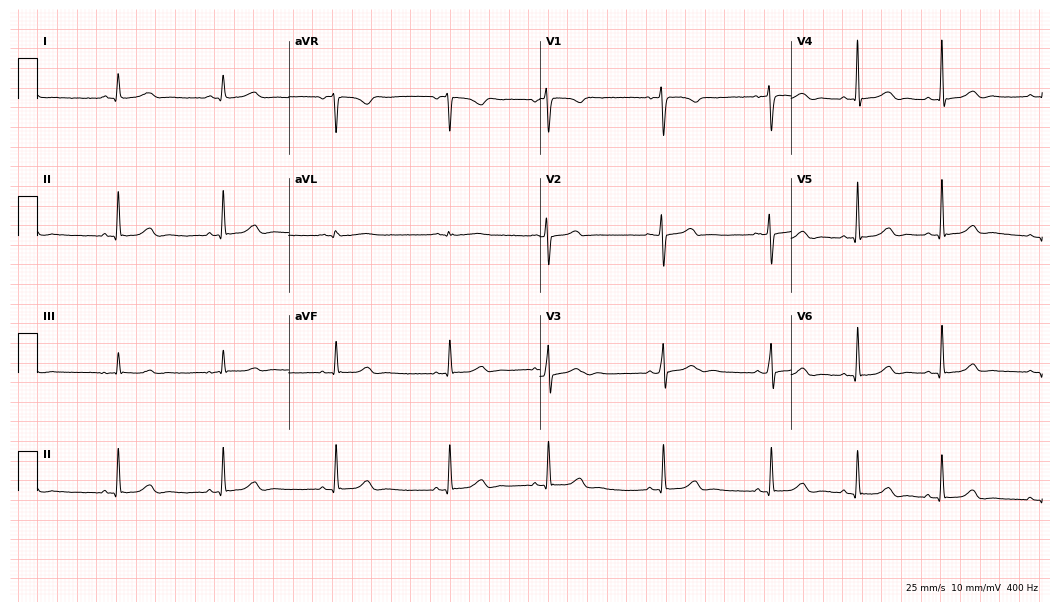
12-lead ECG from a female, 27 years old. Labelled as a normal ECG.